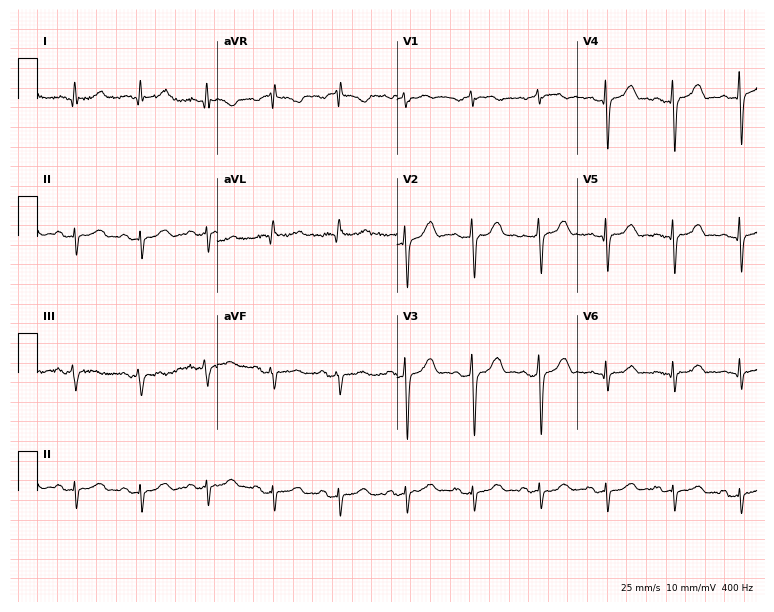
ECG — a 74-year-old female patient. Screened for six findings — first-degree AV block, right bundle branch block, left bundle branch block, sinus bradycardia, atrial fibrillation, sinus tachycardia — none is recorded. Findings outside these six are not listed.